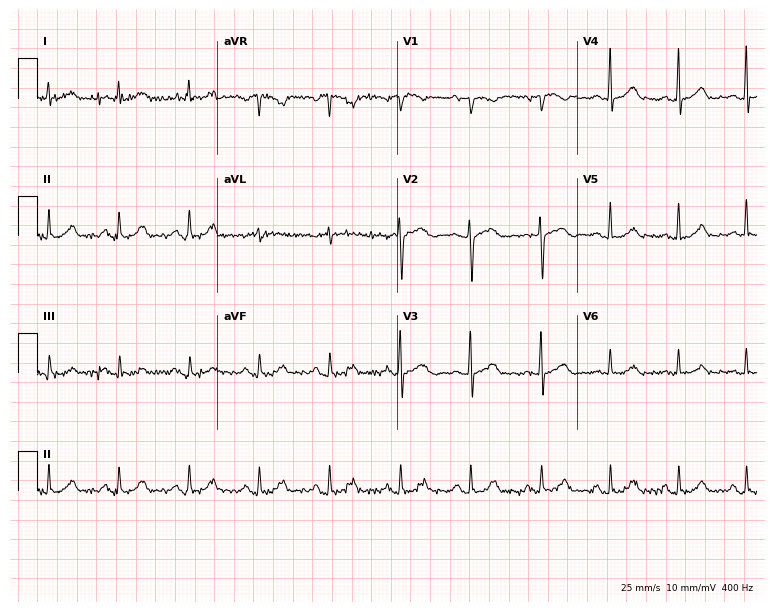
12-lead ECG from a 66-year-old woman. Screened for six findings — first-degree AV block, right bundle branch block (RBBB), left bundle branch block (LBBB), sinus bradycardia, atrial fibrillation (AF), sinus tachycardia — none is recorded.